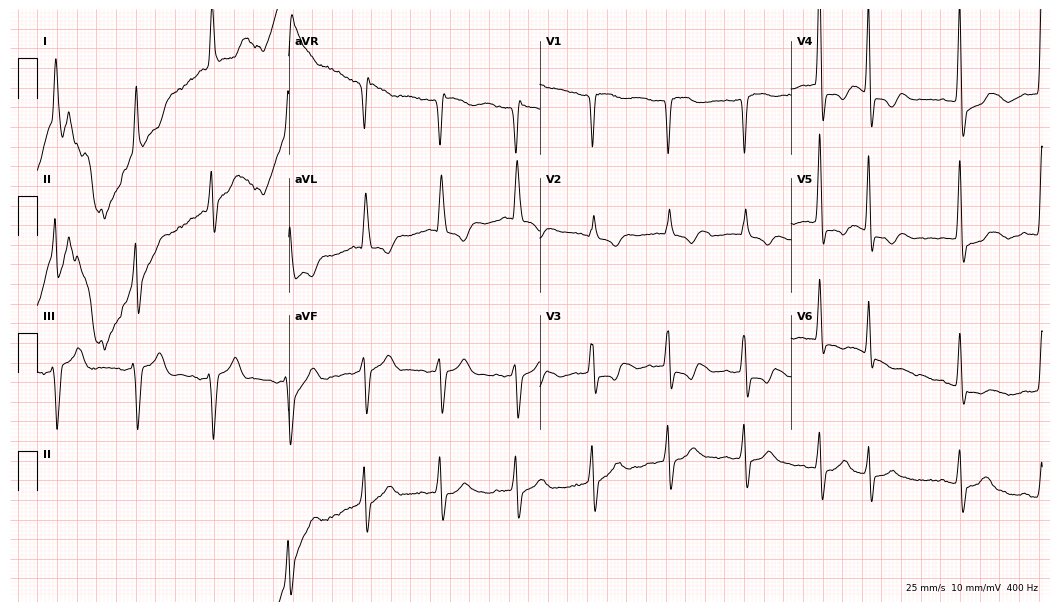
Resting 12-lead electrocardiogram. Patient: a male, 80 years old. None of these six findings is recorded: first-degree AV block, right bundle branch block, left bundle branch block, sinus bradycardia, atrial fibrillation, sinus tachycardia. Other findings, if any, are not listed.